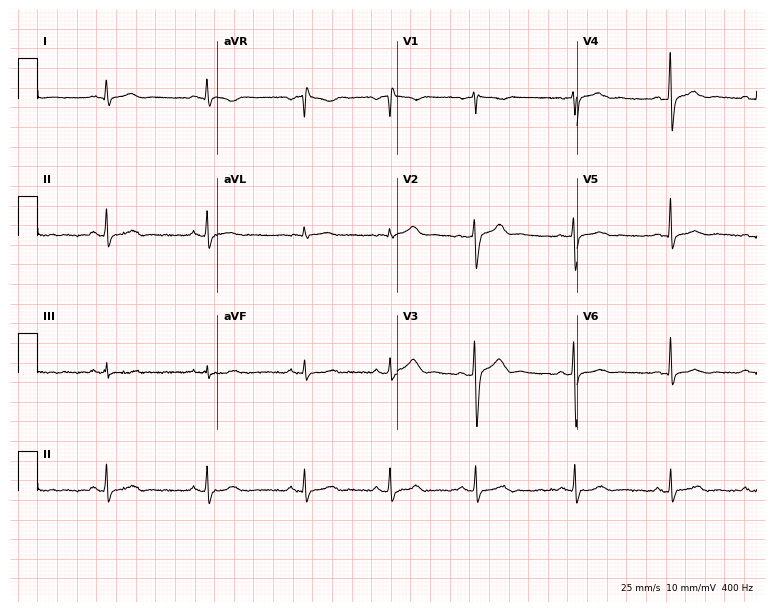
Standard 12-lead ECG recorded from a man, 29 years old (7.3-second recording at 400 Hz). None of these six findings is recorded: first-degree AV block, right bundle branch block (RBBB), left bundle branch block (LBBB), sinus bradycardia, atrial fibrillation (AF), sinus tachycardia. Findings outside these six are not listed.